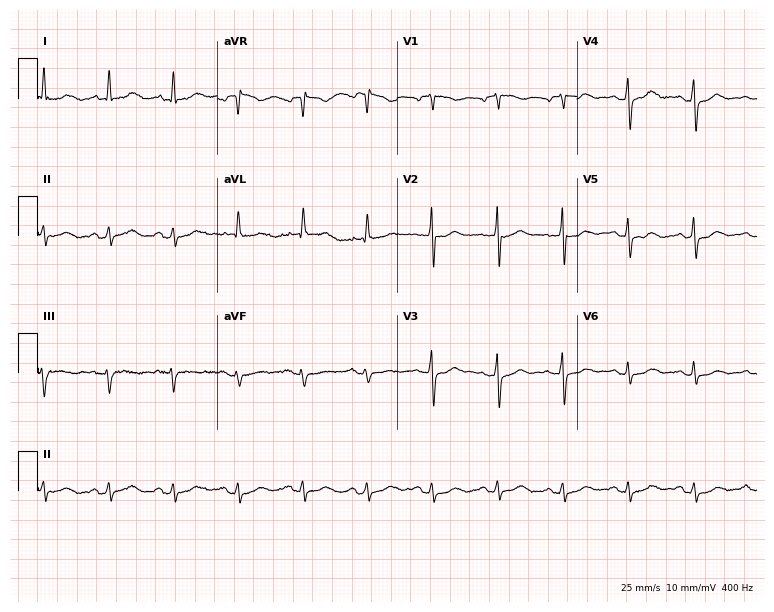
Resting 12-lead electrocardiogram. Patient: a 79-year-old man. Read as a normal ECG.